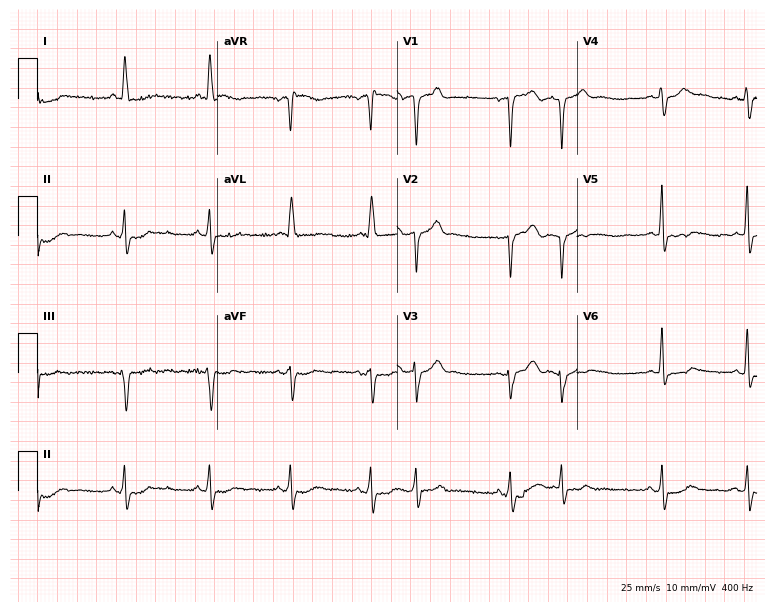
12-lead ECG (7.3-second recording at 400 Hz) from a 65-year-old female patient. Screened for six findings — first-degree AV block, right bundle branch block, left bundle branch block, sinus bradycardia, atrial fibrillation, sinus tachycardia — none is recorded.